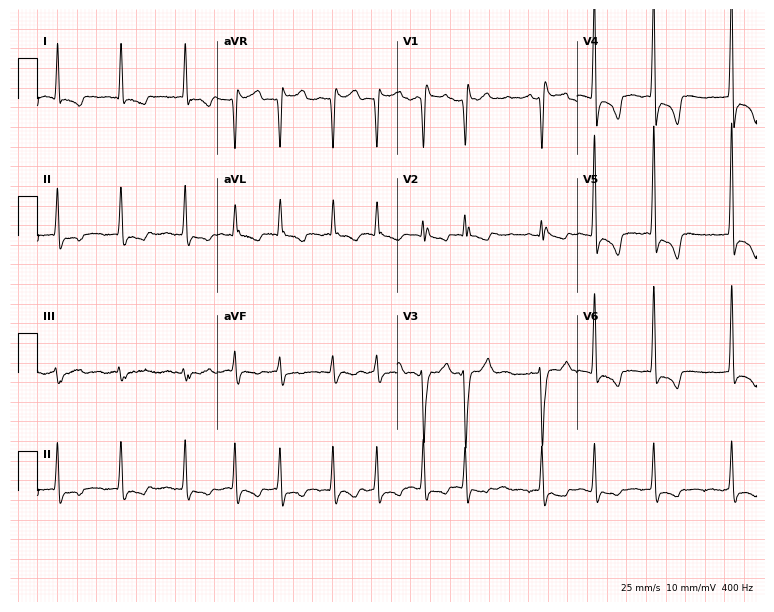
Resting 12-lead electrocardiogram (7.3-second recording at 400 Hz). Patient: a 68-year-old female. The tracing shows atrial fibrillation.